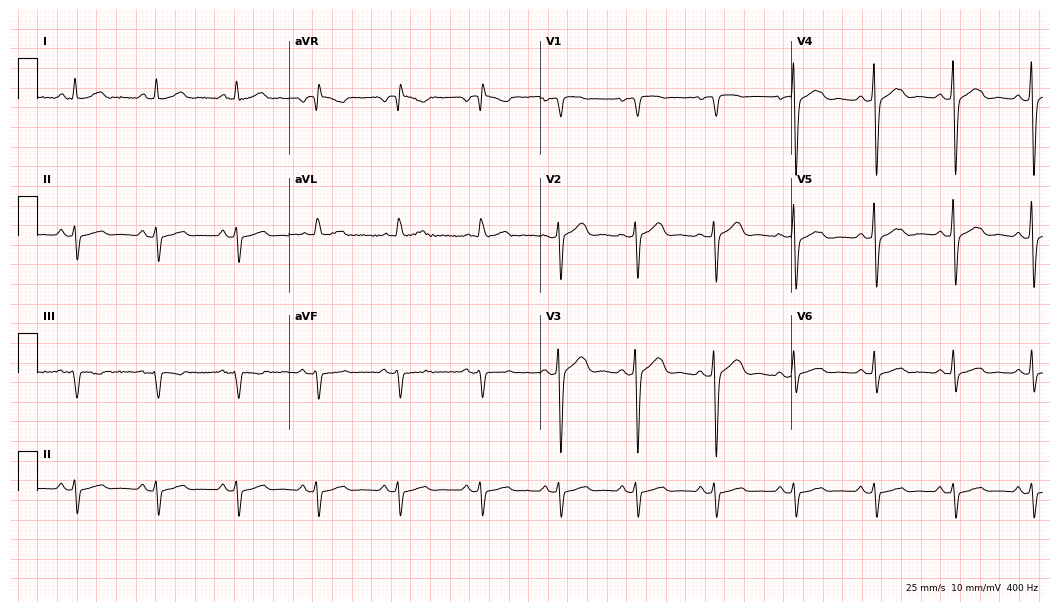
Resting 12-lead electrocardiogram. Patient: a 62-year-old woman. None of these six findings is recorded: first-degree AV block, right bundle branch block, left bundle branch block, sinus bradycardia, atrial fibrillation, sinus tachycardia.